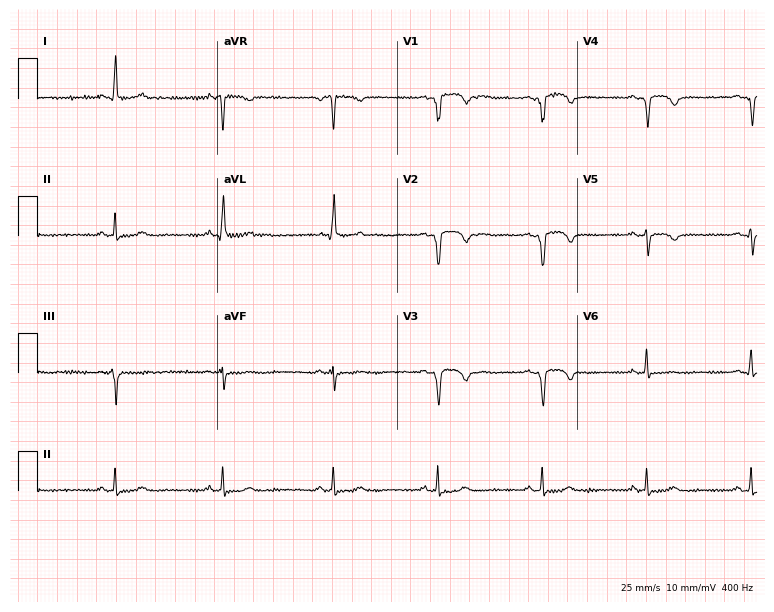
ECG (7.3-second recording at 400 Hz) — a male patient, 50 years old. Labelled as a normal ECG.